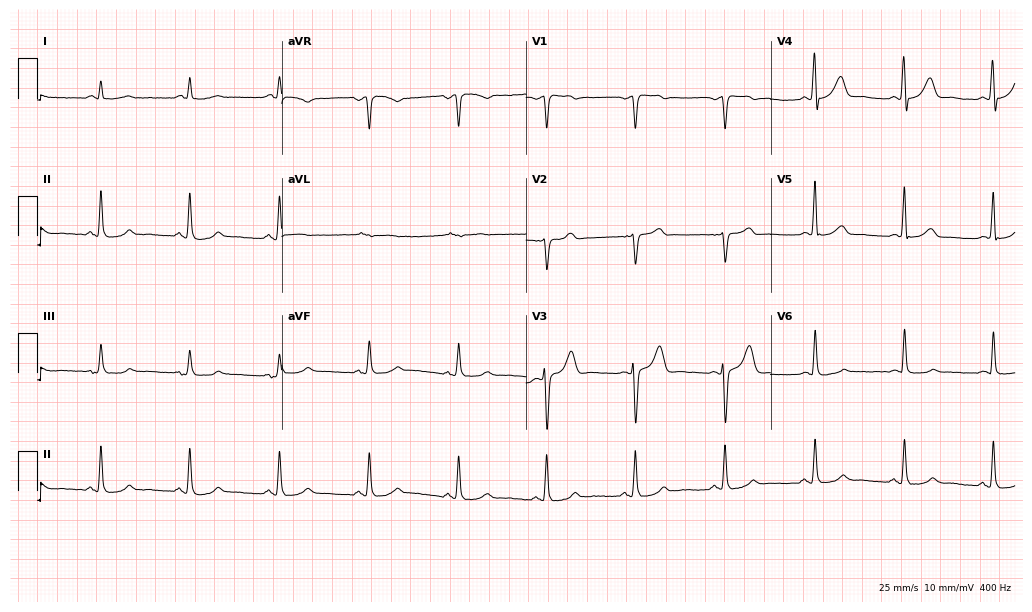
Electrocardiogram, a male, 73 years old. Overall reading on record: normal ECG.